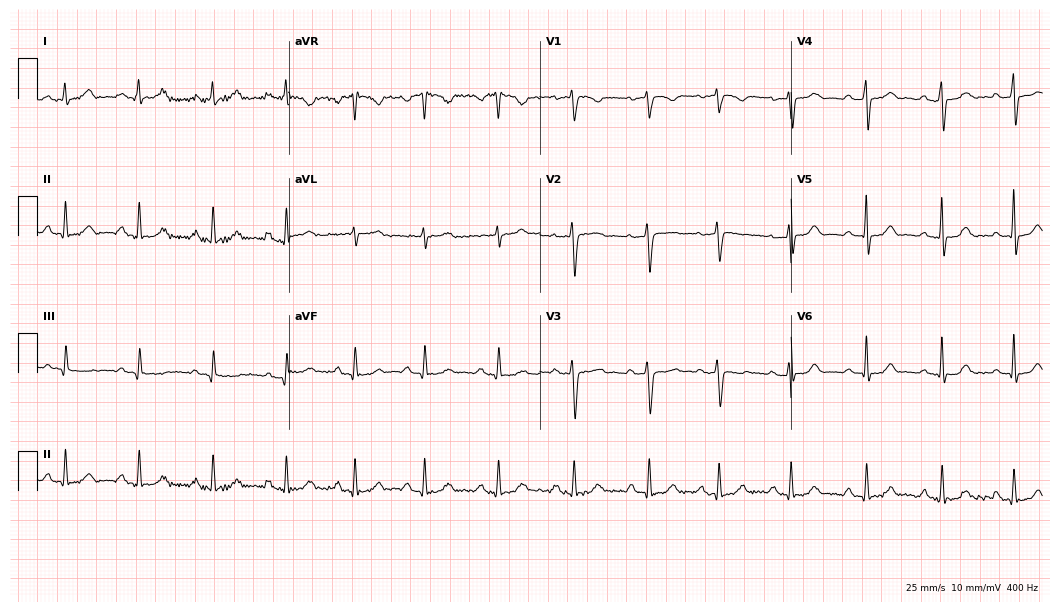
Standard 12-lead ECG recorded from a 35-year-old female patient. Read as a normal ECG.